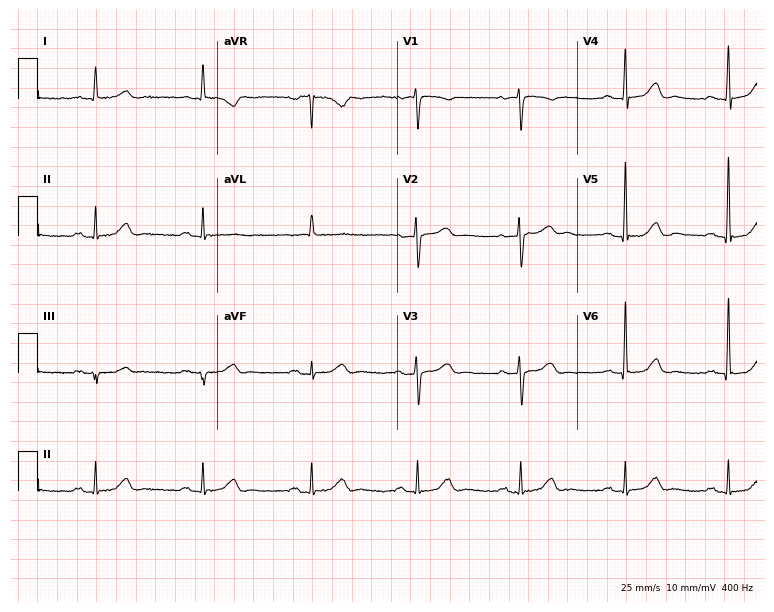
Electrocardiogram, a female patient, 69 years old. Overall reading on record: normal ECG.